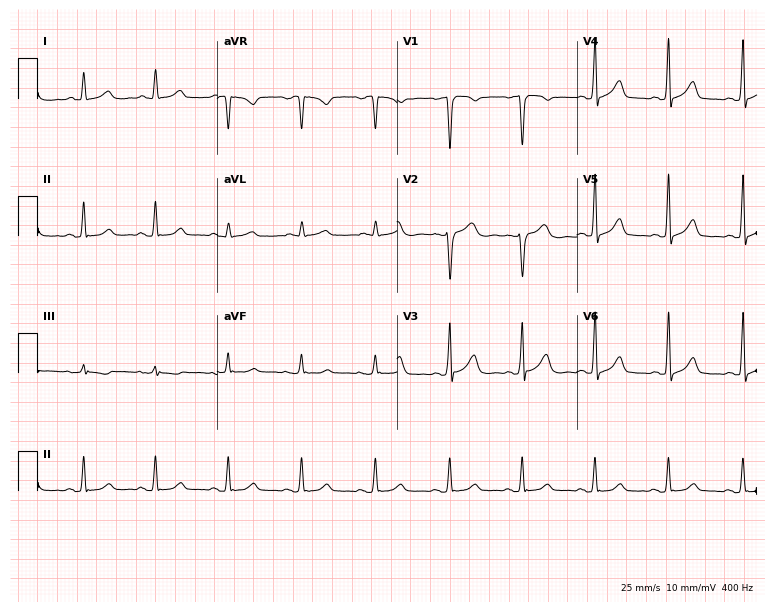
Electrocardiogram (7.3-second recording at 400 Hz), a man, 42 years old. Of the six screened findings (first-degree AV block, right bundle branch block, left bundle branch block, sinus bradycardia, atrial fibrillation, sinus tachycardia), none is recorded.